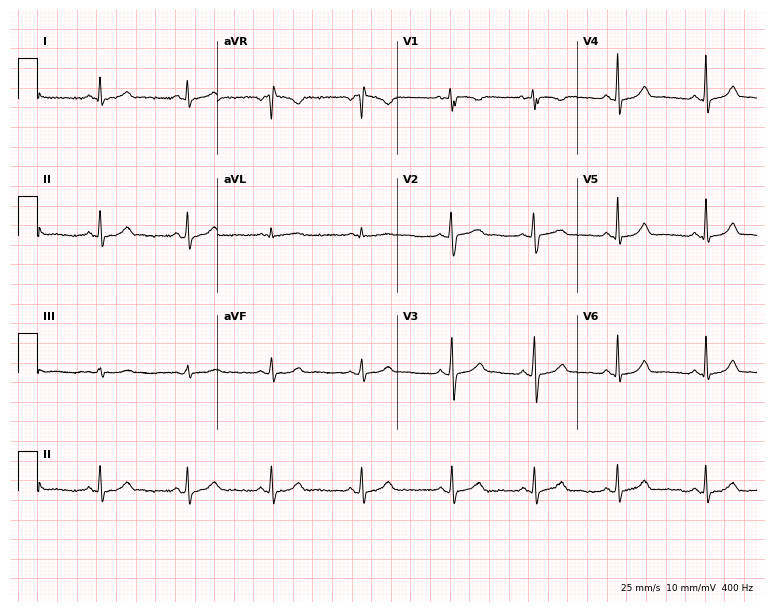
Resting 12-lead electrocardiogram. Patient: a 43-year-old female. None of these six findings is recorded: first-degree AV block, right bundle branch block, left bundle branch block, sinus bradycardia, atrial fibrillation, sinus tachycardia. Other findings, if any, are not listed.